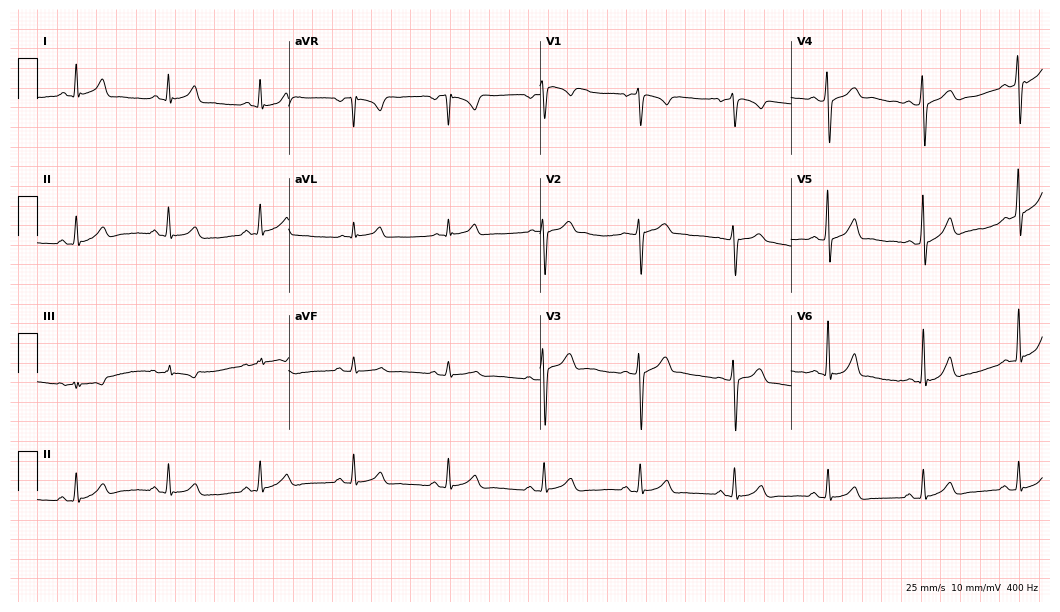
12-lead ECG from a man, 39 years old. Labelled as a normal ECG.